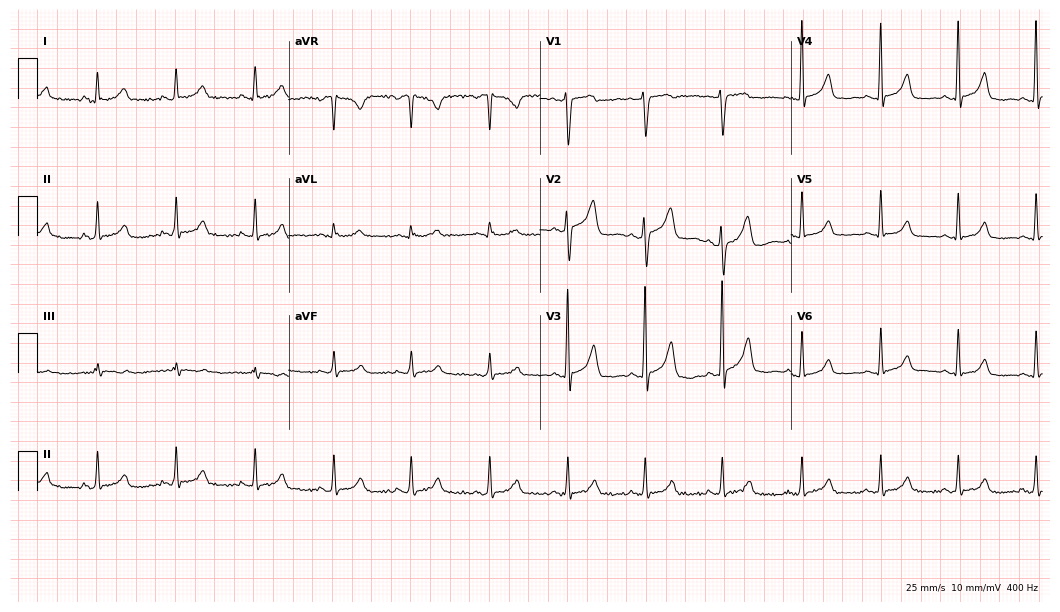
ECG (10.2-second recording at 400 Hz) — a 46-year-old female. Labelled as a normal ECG.